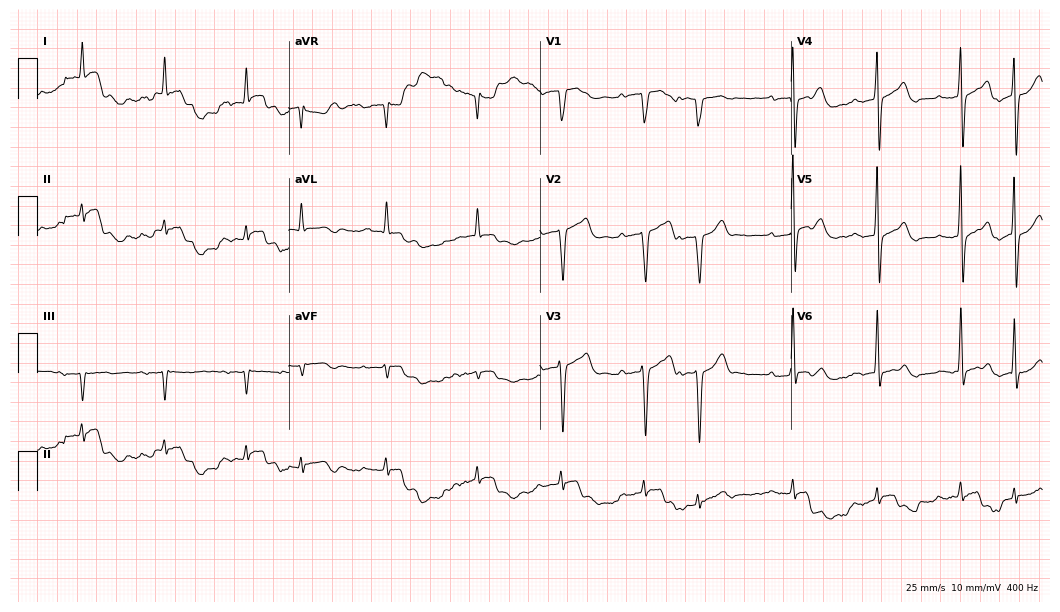
Resting 12-lead electrocardiogram (10.2-second recording at 400 Hz). Patient: an 81-year-old male. None of these six findings is recorded: first-degree AV block, right bundle branch block, left bundle branch block, sinus bradycardia, atrial fibrillation, sinus tachycardia.